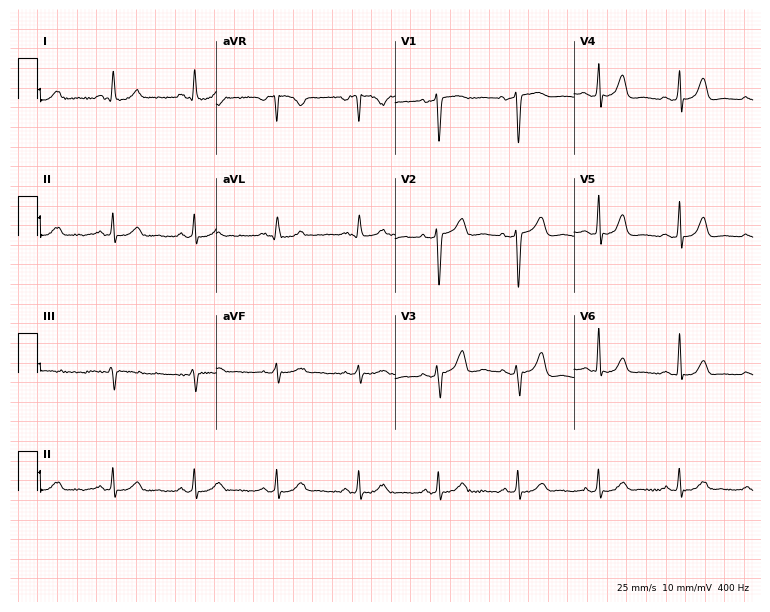
Resting 12-lead electrocardiogram. Patient: a woman, 51 years old. Read as a normal ECG.